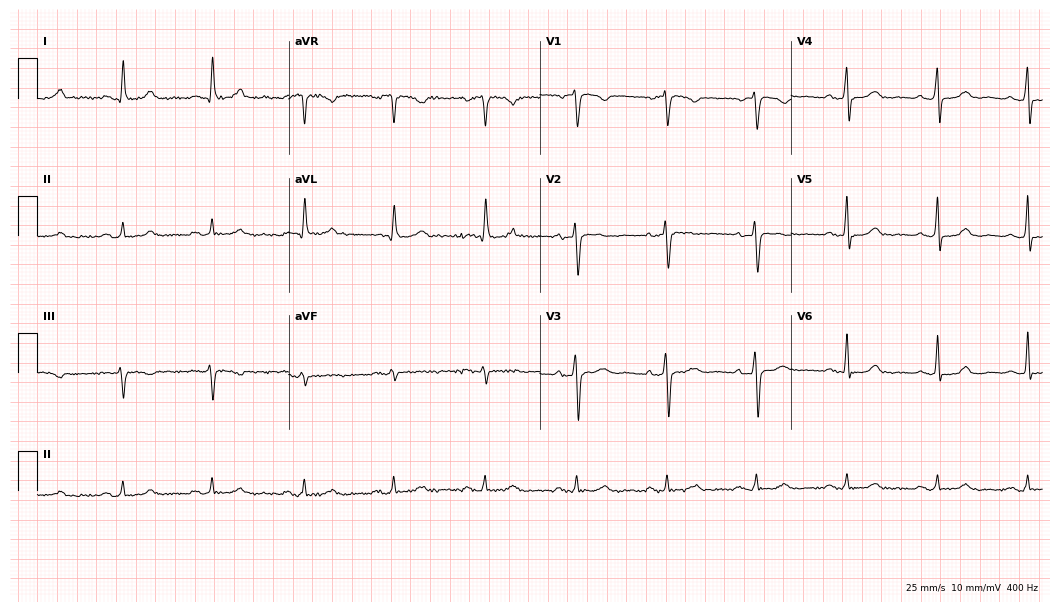
12-lead ECG from a 55-year-old woman (10.2-second recording at 400 Hz). No first-degree AV block, right bundle branch block, left bundle branch block, sinus bradycardia, atrial fibrillation or sinus tachycardia recorded for this tracing.